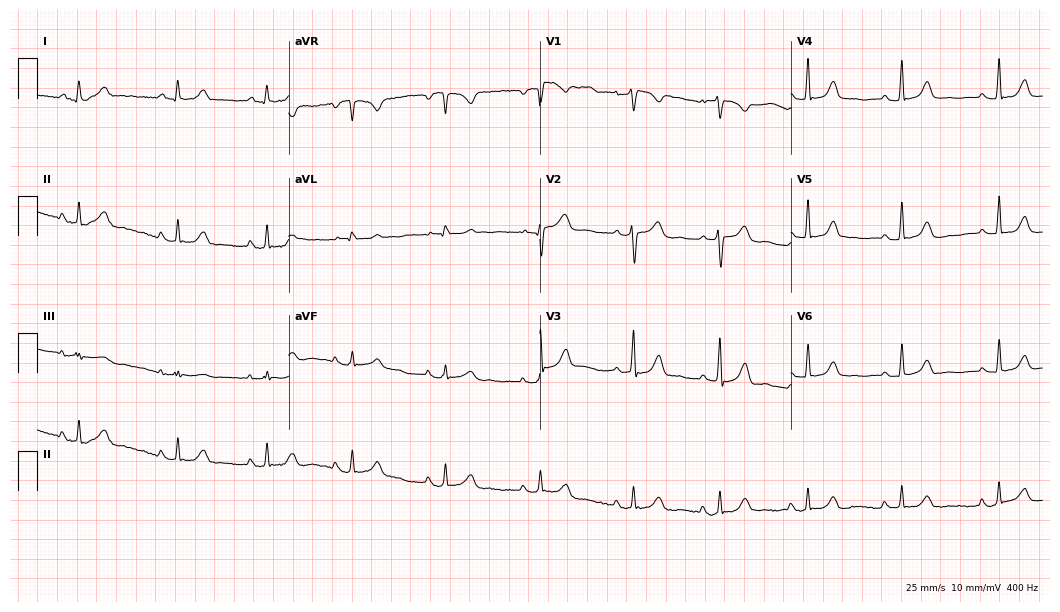
Resting 12-lead electrocardiogram. Patient: a 33-year-old woman. Read as a normal ECG.